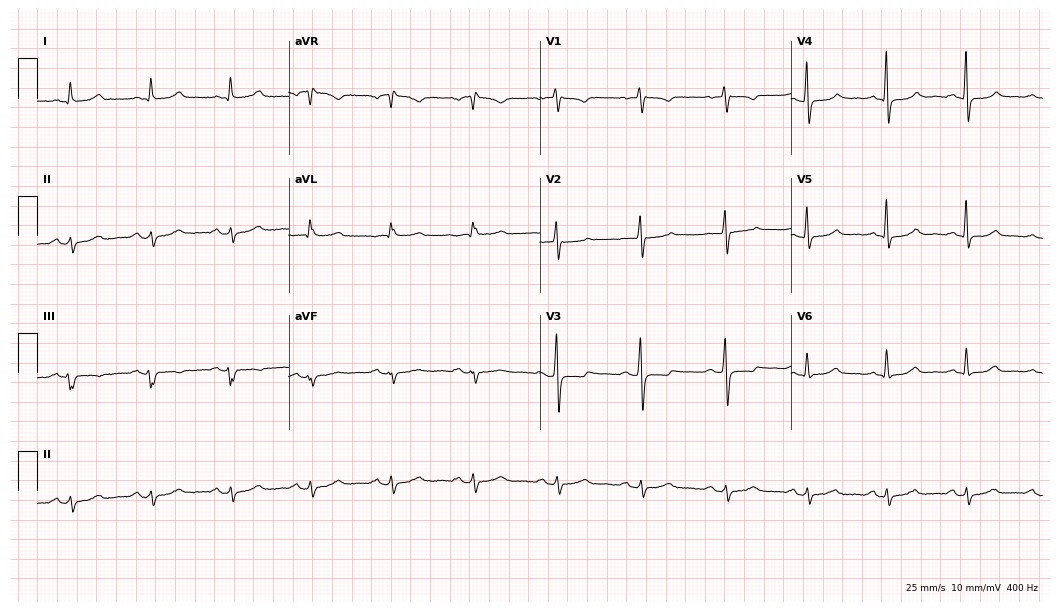
ECG (10.2-second recording at 400 Hz) — a female, 63 years old. Labelled as a normal ECG.